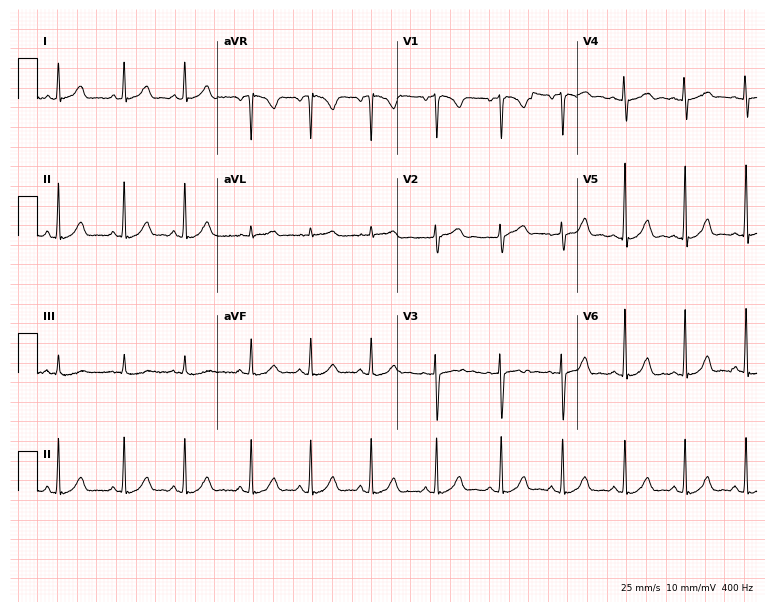
12-lead ECG from a 43-year-old woman. Recorded interpretation: within normal limits.